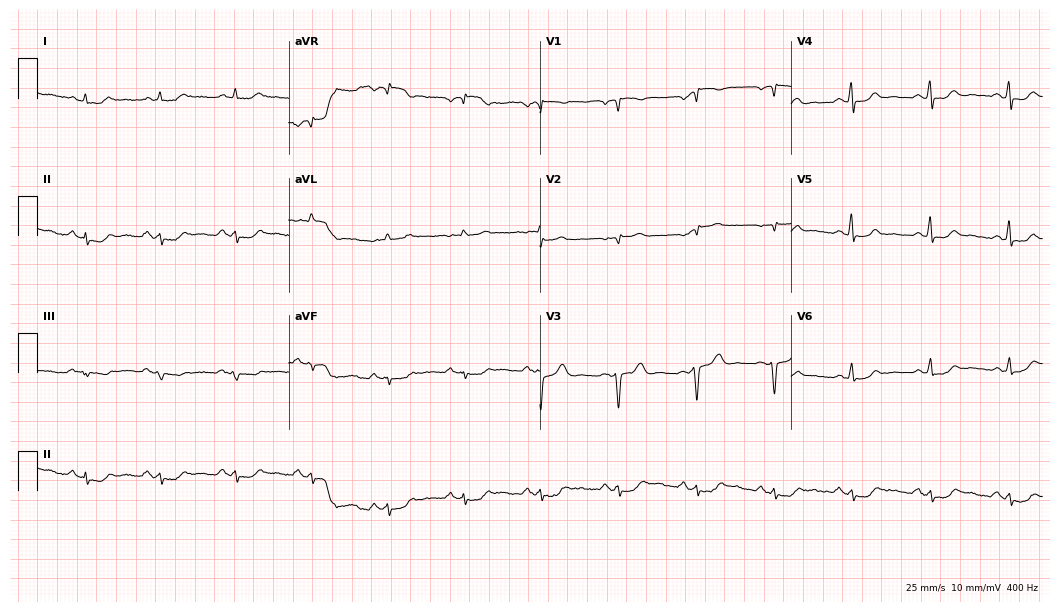
Resting 12-lead electrocardiogram. Patient: a female, 48 years old. None of these six findings is recorded: first-degree AV block, right bundle branch block, left bundle branch block, sinus bradycardia, atrial fibrillation, sinus tachycardia.